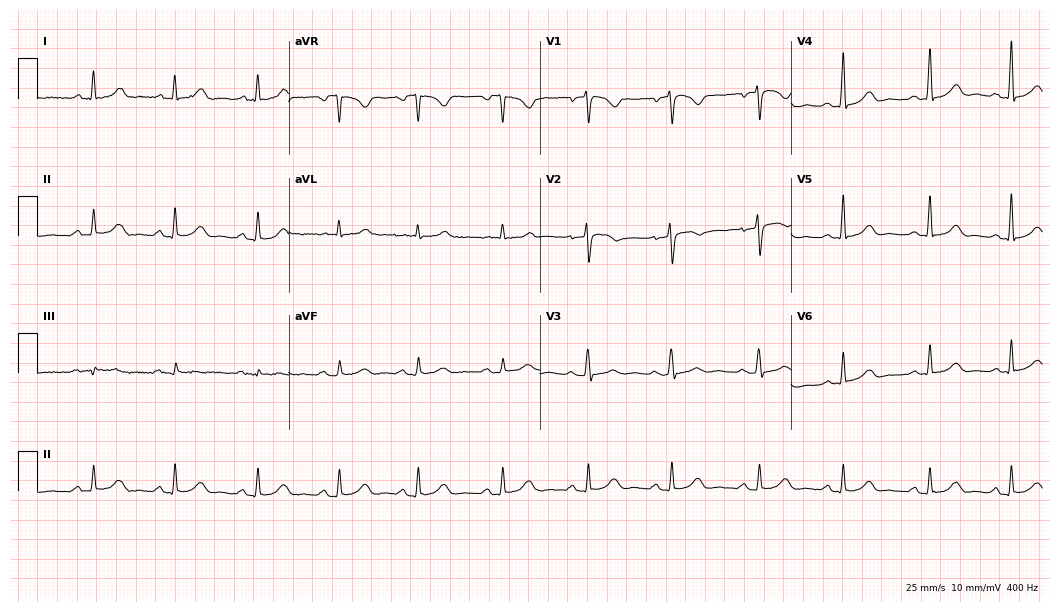
ECG (10.2-second recording at 400 Hz) — a 52-year-old female patient. Screened for six findings — first-degree AV block, right bundle branch block (RBBB), left bundle branch block (LBBB), sinus bradycardia, atrial fibrillation (AF), sinus tachycardia — none is recorded.